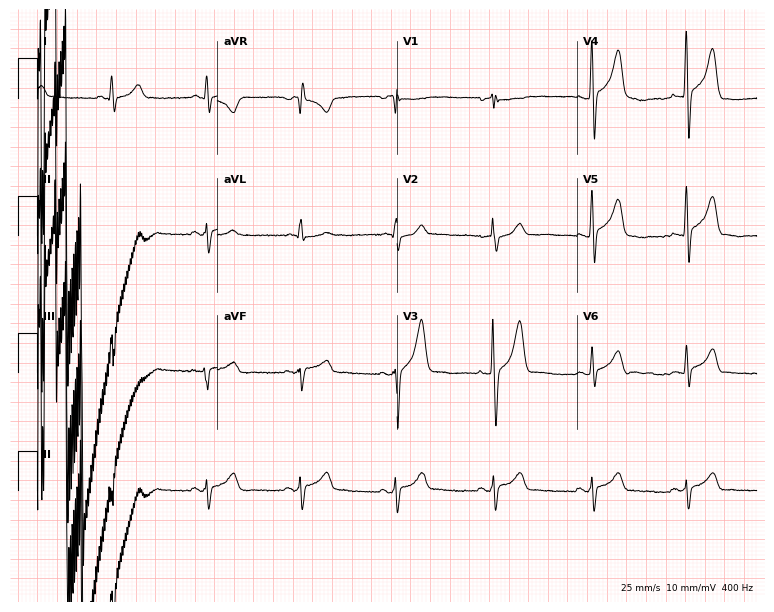
Electrocardiogram, a male patient, 36 years old. Of the six screened findings (first-degree AV block, right bundle branch block, left bundle branch block, sinus bradycardia, atrial fibrillation, sinus tachycardia), none is recorded. Other findings, if any, are not listed.